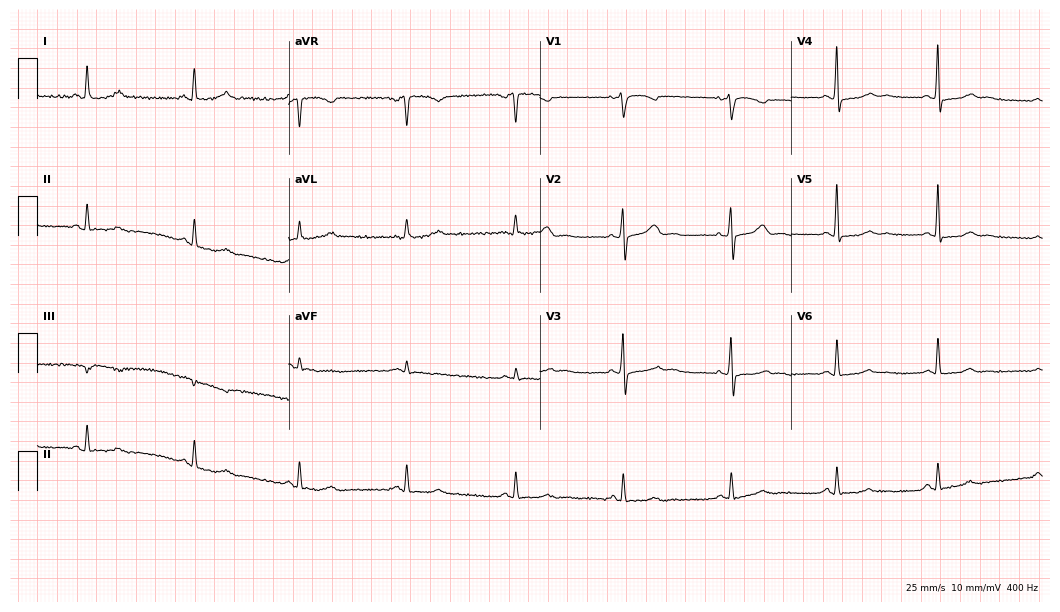
12-lead ECG from a 63-year-old female patient (10.2-second recording at 400 Hz). Recorded interpretation: within normal limits.